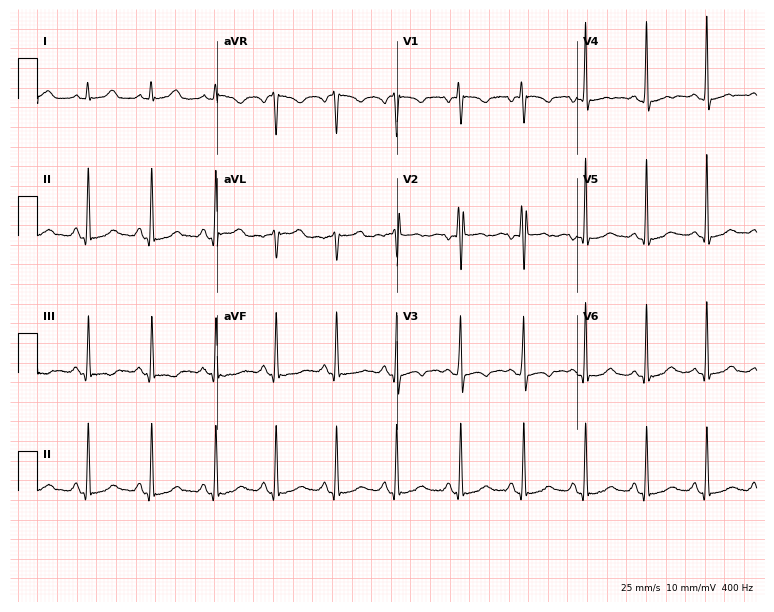
Resting 12-lead electrocardiogram (7.3-second recording at 400 Hz). Patient: a female, 25 years old. Read as a normal ECG.